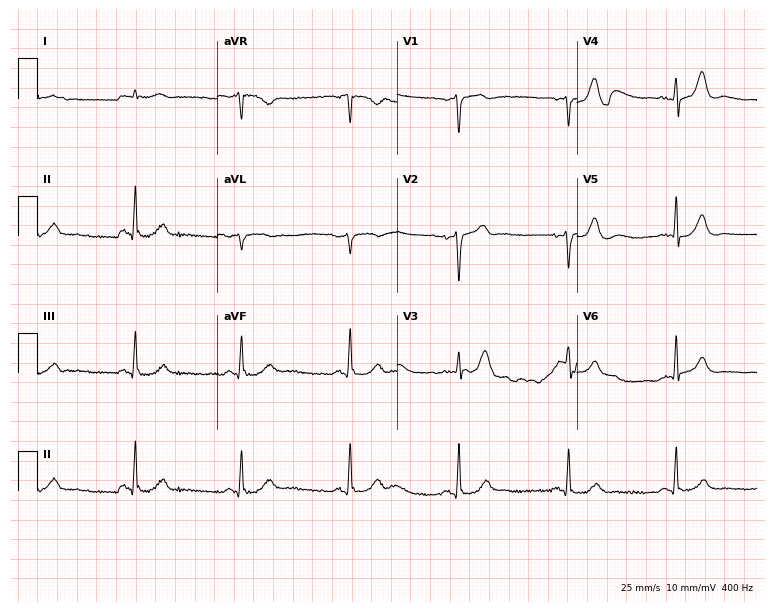
ECG — a 70-year-old man. Screened for six findings — first-degree AV block, right bundle branch block, left bundle branch block, sinus bradycardia, atrial fibrillation, sinus tachycardia — none is recorded.